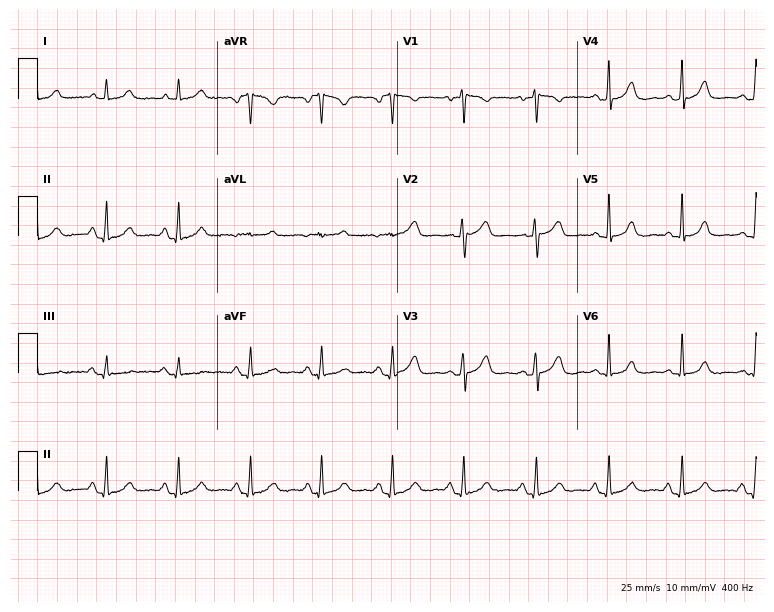
12-lead ECG (7.3-second recording at 400 Hz) from a 53-year-old female. Labelled as a normal ECG.